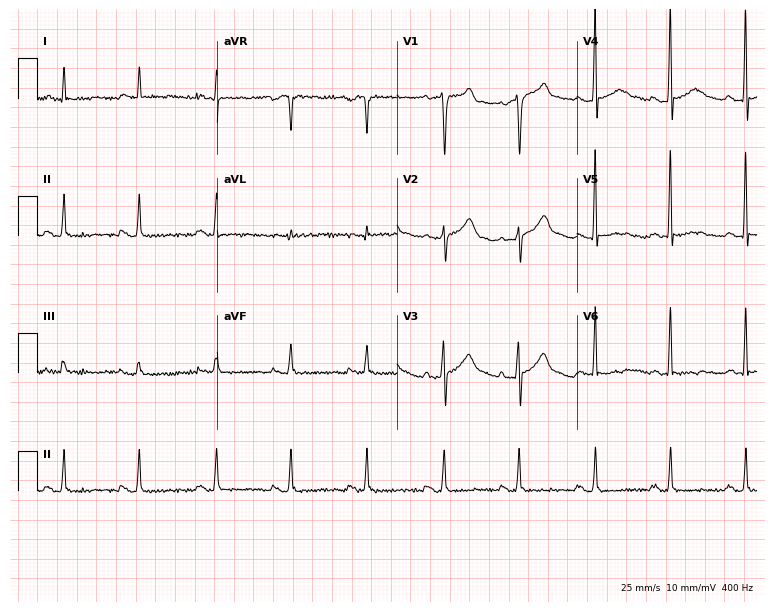
Electrocardiogram (7.3-second recording at 400 Hz), a 58-year-old male. Of the six screened findings (first-degree AV block, right bundle branch block (RBBB), left bundle branch block (LBBB), sinus bradycardia, atrial fibrillation (AF), sinus tachycardia), none is recorded. Other findings, if any, are not listed.